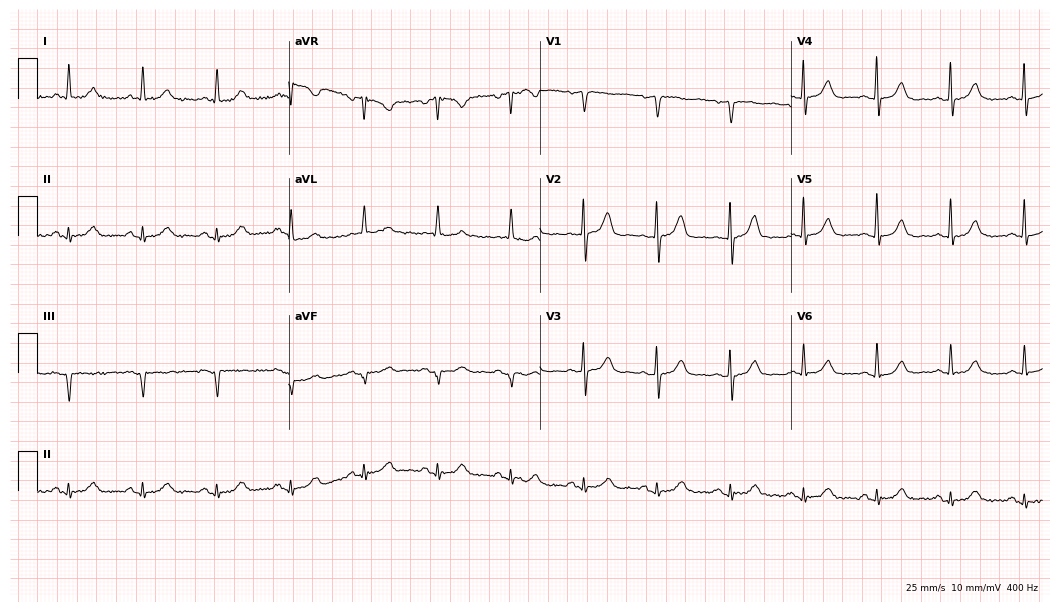
Standard 12-lead ECG recorded from a woman, 77 years old (10.2-second recording at 400 Hz). Read as a normal ECG.